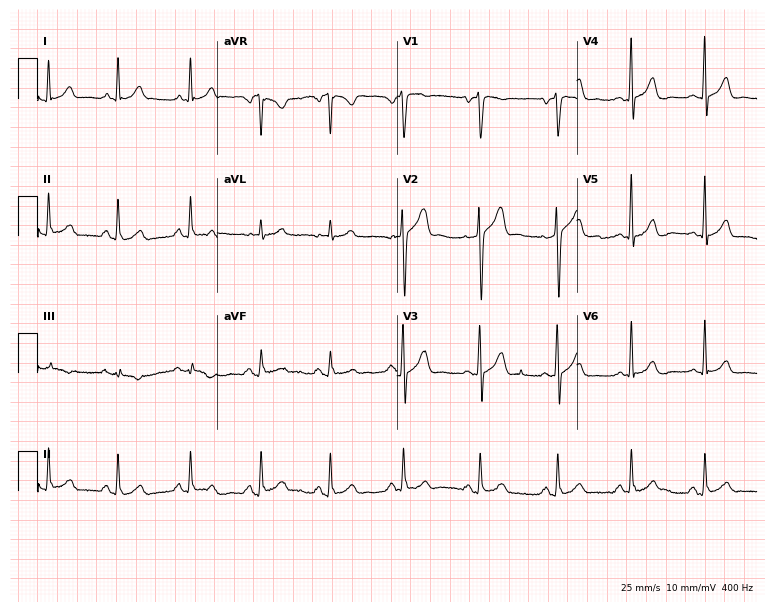
12-lead ECG from a female, 45 years old (7.3-second recording at 400 Hz). No first-degree AV block, right bundle branch block, left bundle branch block, sinus bradycardia, atrial fibrillation or sinus tachycardia recorded for this tracing.